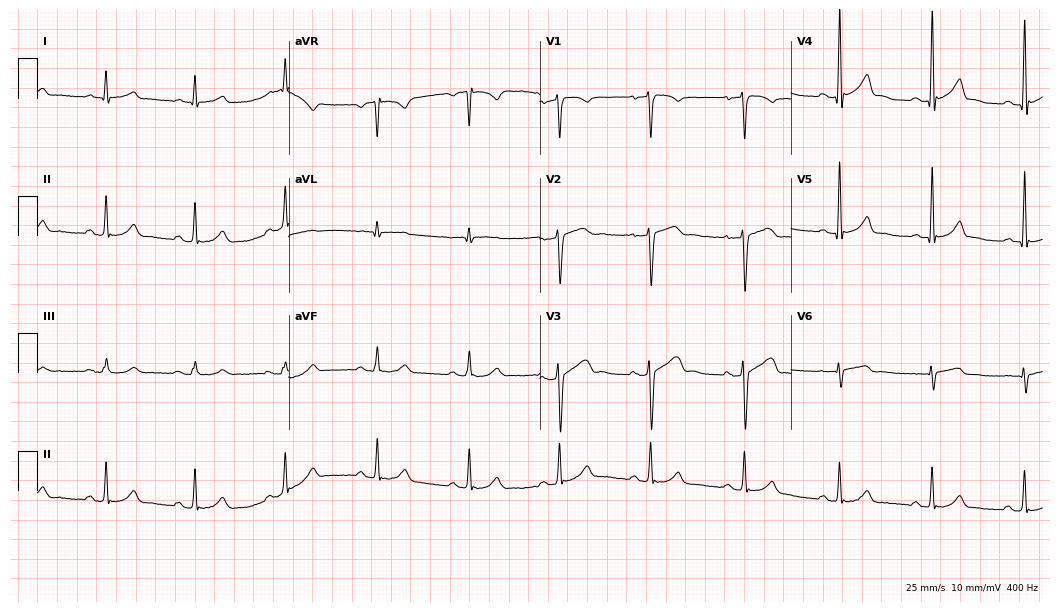
Electrocardiogram, a 50-year-old man. Overall reading on record: normal ECG.